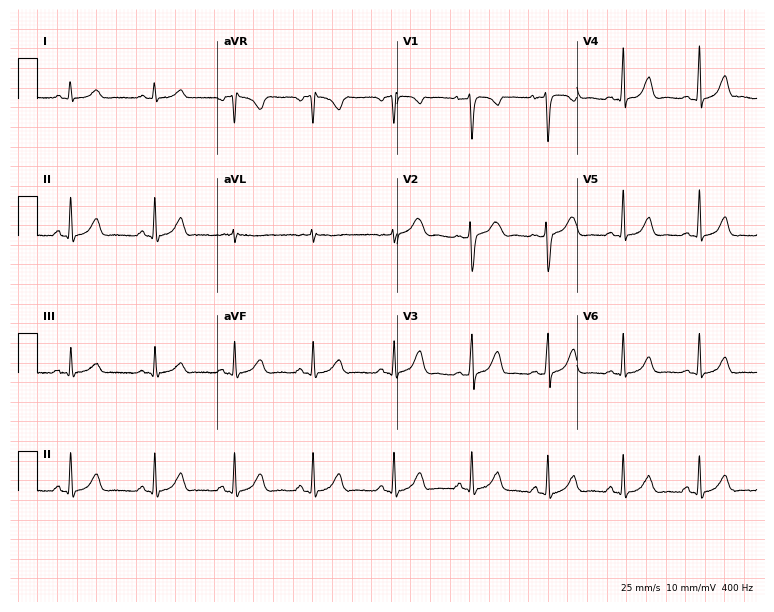
12-lead ECG from a 28-year-old female. Labelled as a normal ECG.